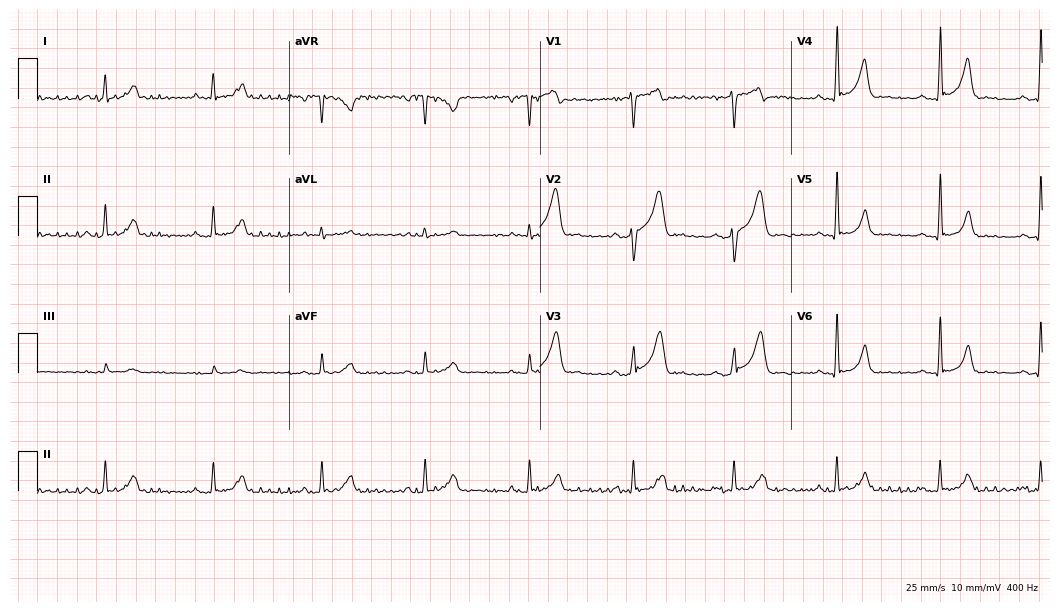
Standard 12-lead ECG recorded from a male patient, 50 years old (10.2-second recording at 400 Hz). None of these six findings is recorded: first-degree AV block, right bundle branch block (RBBB), left bundle branch block (LBBB), sinus bradycardia, atrial fibrillation (AF), sinus tachycardia. Only these six findings were labelled.